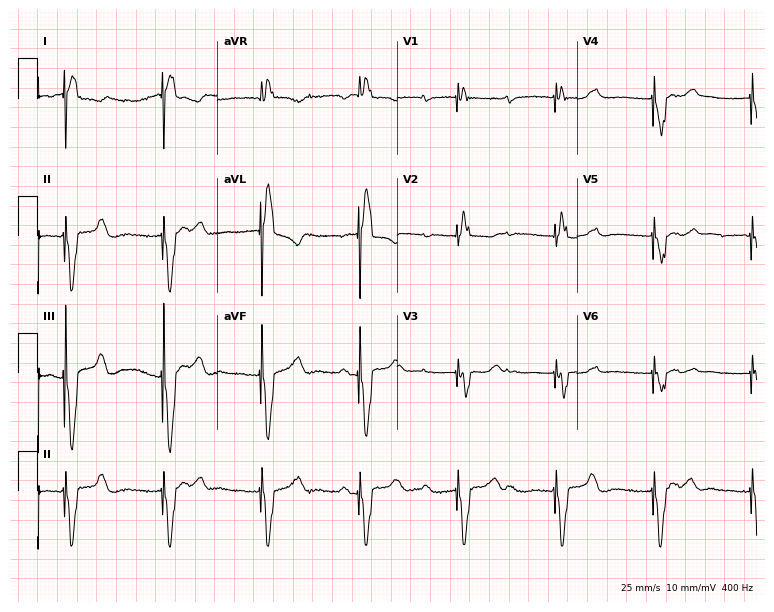
Resting 12-lead electrocardiogram. Patient: a woman, 70 years old. None of these six findings is recorded: first-degree AV block, right bundle branch block, left bundle branch block, sinus bradycardia, atrial fibrillation, sinus tachycardia.